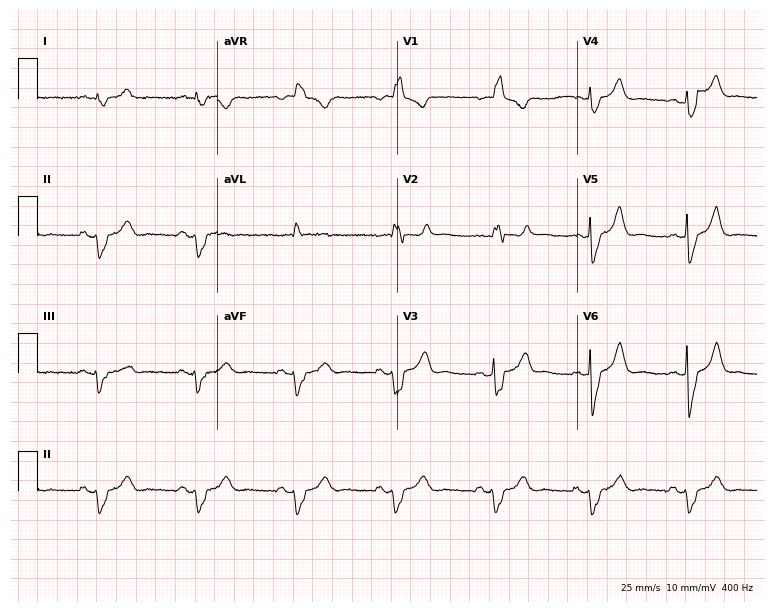
12-lead ECG from a male patient, 53 years old. Findings include right bundle branch block.